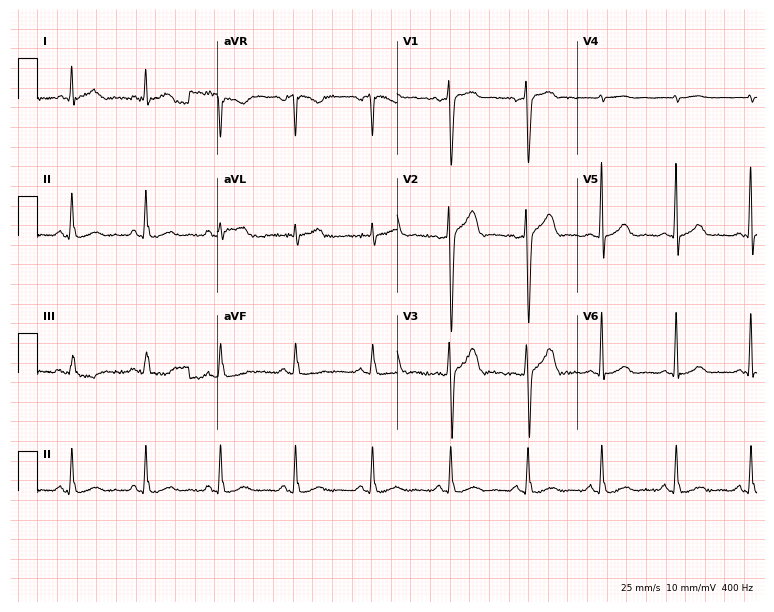
Standard 12-lead ECG recorded from a male, 50 years old (7.3-second recording at 400 Hz). None of these six findings is recorded: first-degree AV block, right bundle branch block, left bundle branch block, sinus bradycardia, atrial fibrillation, sinus tachycardia.